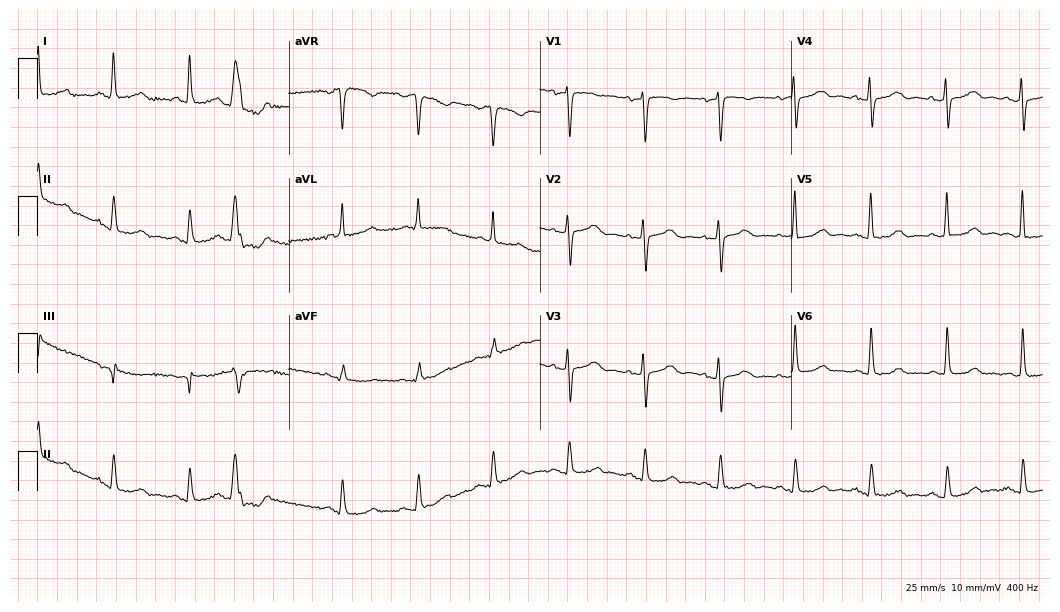
12-lead ECG from a female, 68 years old. Screened for six findings — first-degree AV block, right bundle branch block, left bundle branch block, sinus bradycardia, atrial fibrillation, sinus tachycardia — none is recorded. Only these six findings were labelled.